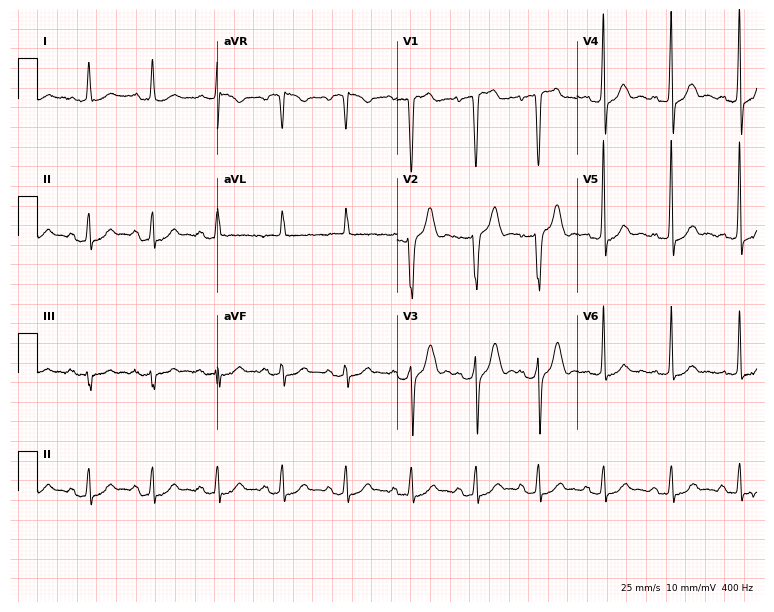
Resting 12-lead electrocardiogram (7.3-second recording at 400 Hz). Patient: a 61-year-old male. None of these six findings is recorded: first-degree AV block, right bundle branch block (RBBB), left bundle branch block (LBBB), sinus bradycardia, atrial fibrillation (AF), sinus tachycardia. Other findings, if any, are not listed.